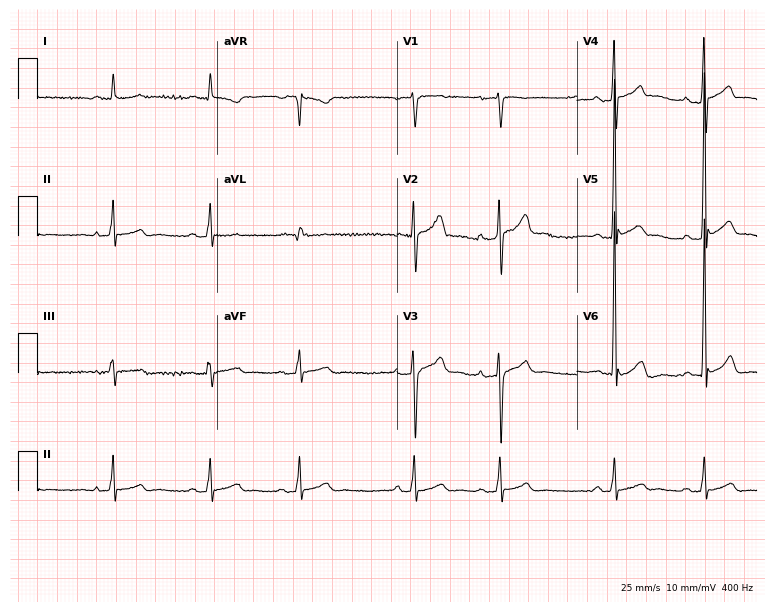
Electrocardiogram, a man, 69 years old. Overall reading on record: normal ECG.